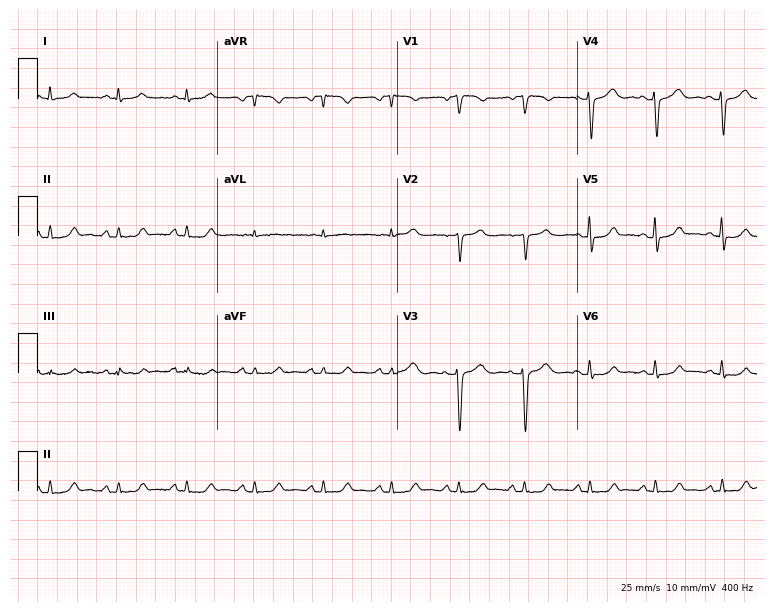
ECG (7.3-second recording at 400 Hz) — a female, 60 years old. Screened for six findings — first-degree AV block, right bundle branch block, left bundle branch block, sinus bradycardia, atrial fibrillation, sinus tachycardia — none is recorded. Only these six findings were labelled.